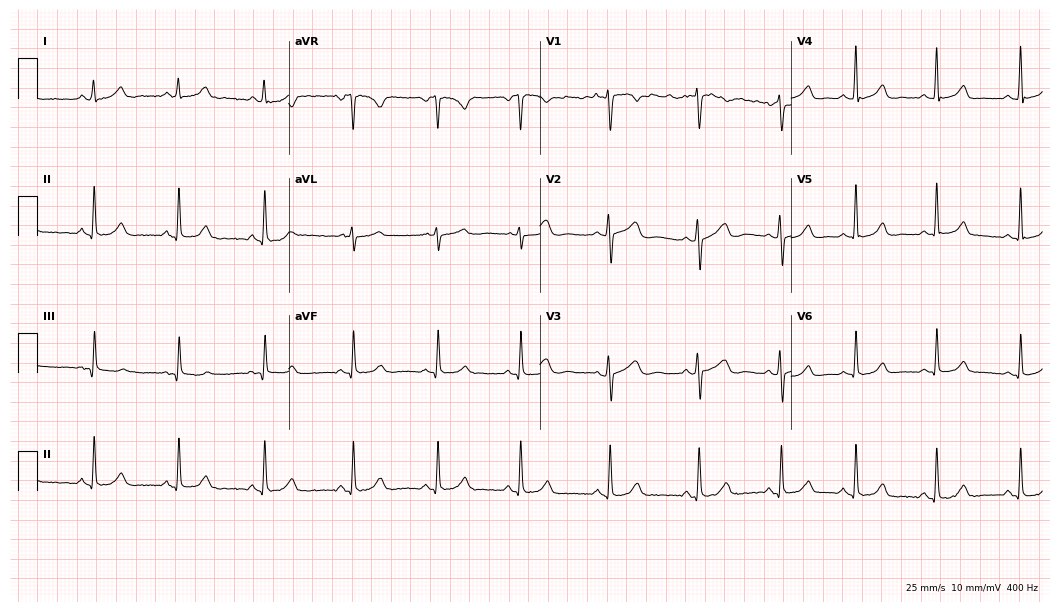
12-lead ECG from a female, 24 years old. Recorded interpretation: within normal limits.